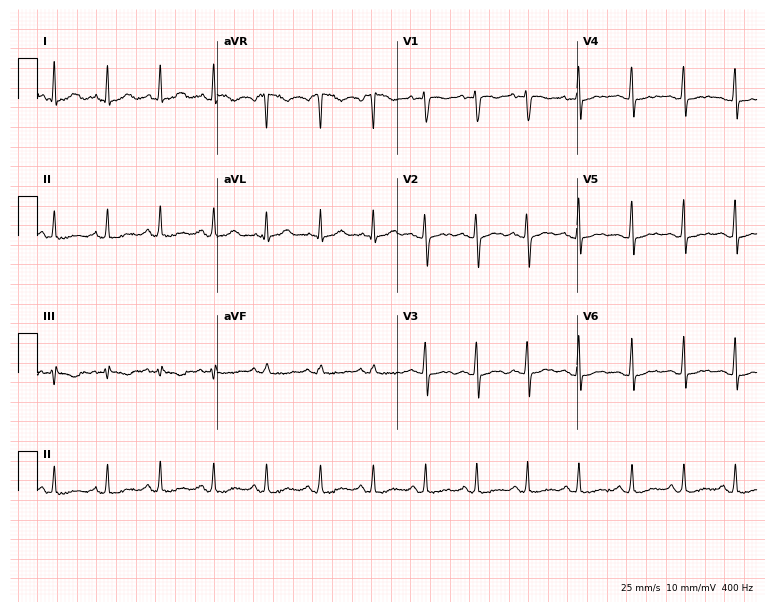
ECG (7.3-second recording at 400 Hz) — a female patient, 20 years old. Findings include sinus tachycardia (a sinus rate of 100 beats per minute or more).